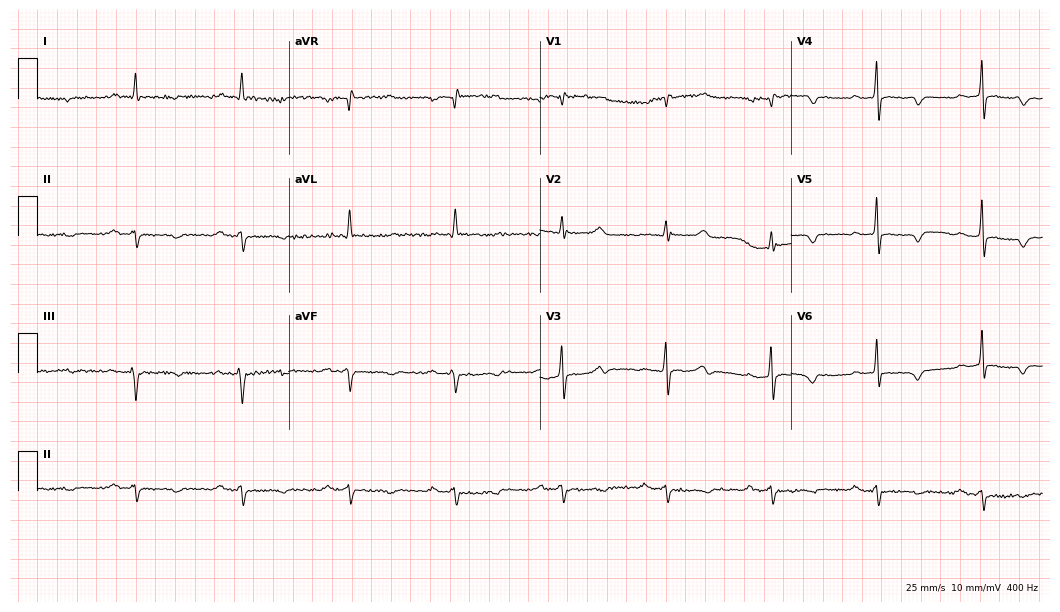
12-lead ECG from a male, 73 years old (10.2-second recording at 400 Hz). Shows first-degree AV block.